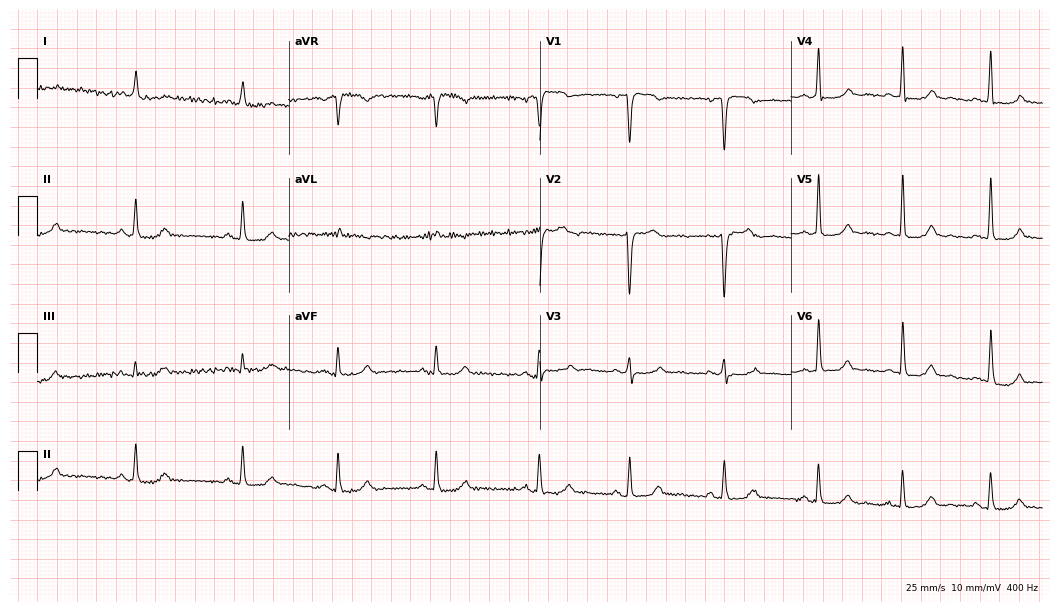
ECG — a 44-year-old female patient. Screened for six findings — first-degree AV block, right bundle branch block, left bundle branch block, sinus bradycardia, atrial fibrillation, sinus tachycardia — none is recorded.